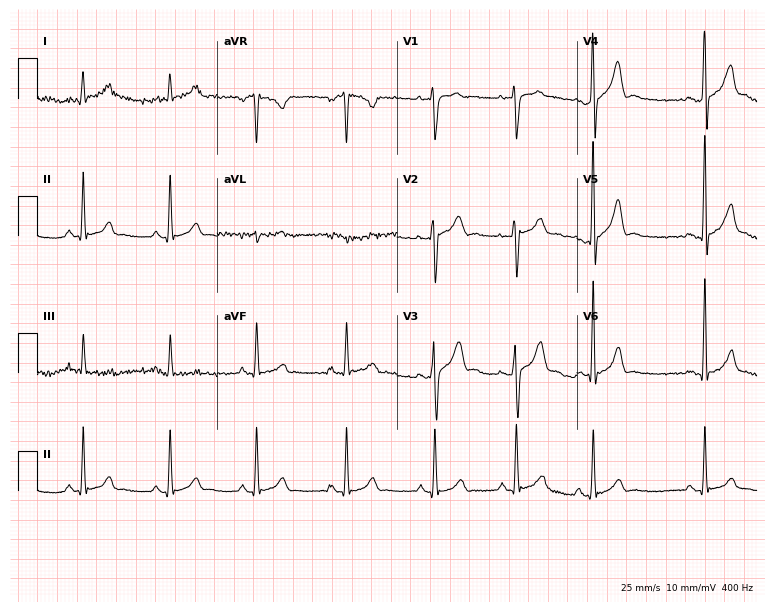
12-lead ECG from a 22-year-old man (7.3-second recording at 400 Hz). No first-degree AV block, right bundle branch block, left bundle branch block, sinus bradycardia, atrial fibrillation or sinus tachycardia recorded for this tracing. Only these six findings were labelled.